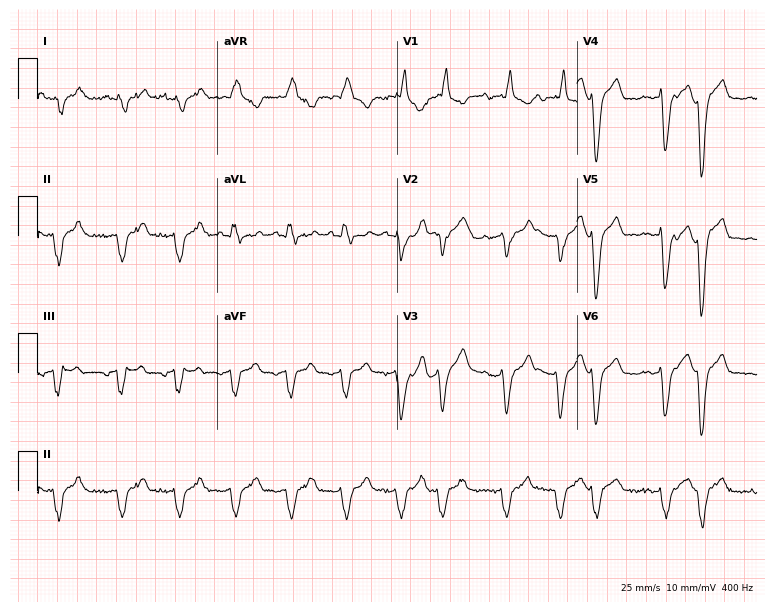
ECG (7.3-second recording at 400 Hz) — a 71-year-old man. Findings include right bundle branch block.